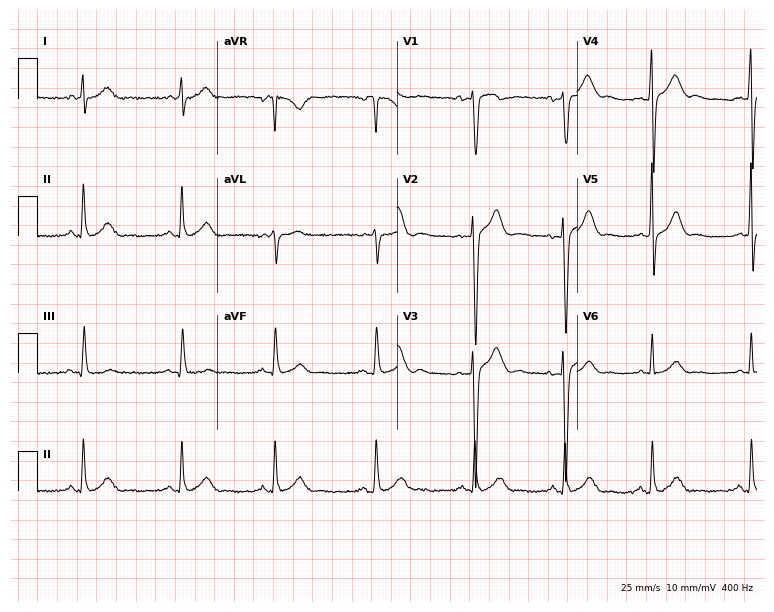
Standard 12-lead ECG recorded from a man, 23 years old. Read as a normal ECG.